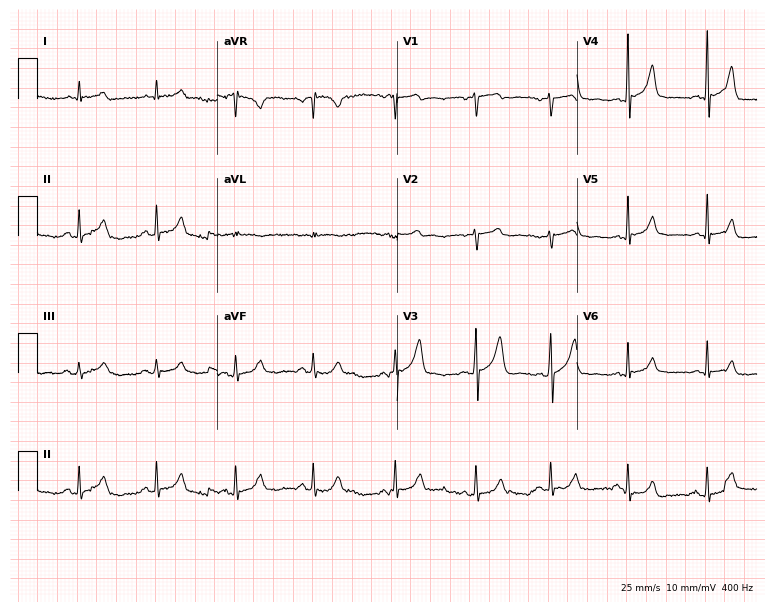
Standard 12-lead ECG recorded from a 56-year-old man (7.3-second recording at 400 Hz). Read as a normal ECG.